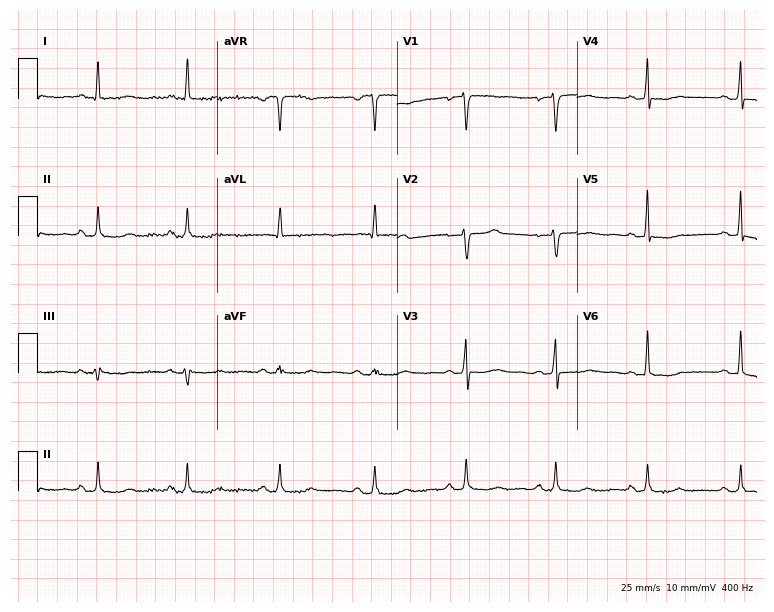
Resting 12-lead electrocardiogram. Patient: a woman, 55 years old. None of these six findings is recorded: first-degree AV block, right bundle branch block, left bundle branch block, sinus bradycardia, atrial fibrillation, sinus tachycardia.